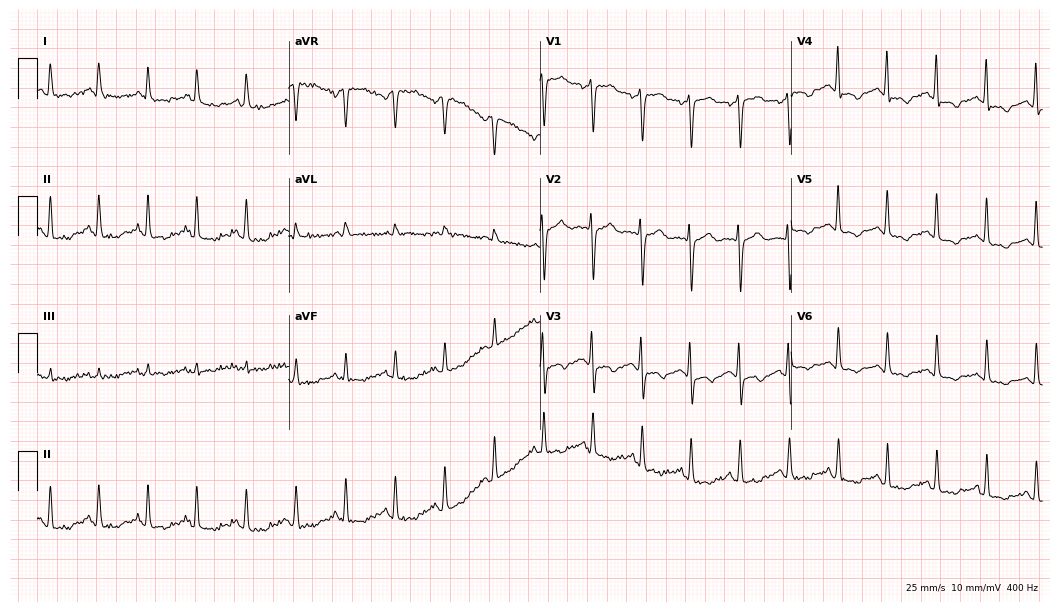
Standard 12-lead ECG recorded from a female, 45 years old (10.2-second recording at 400 Hz). The tracing shows sinus tachycardia (a sinus rate of 100 beats per minute or more).